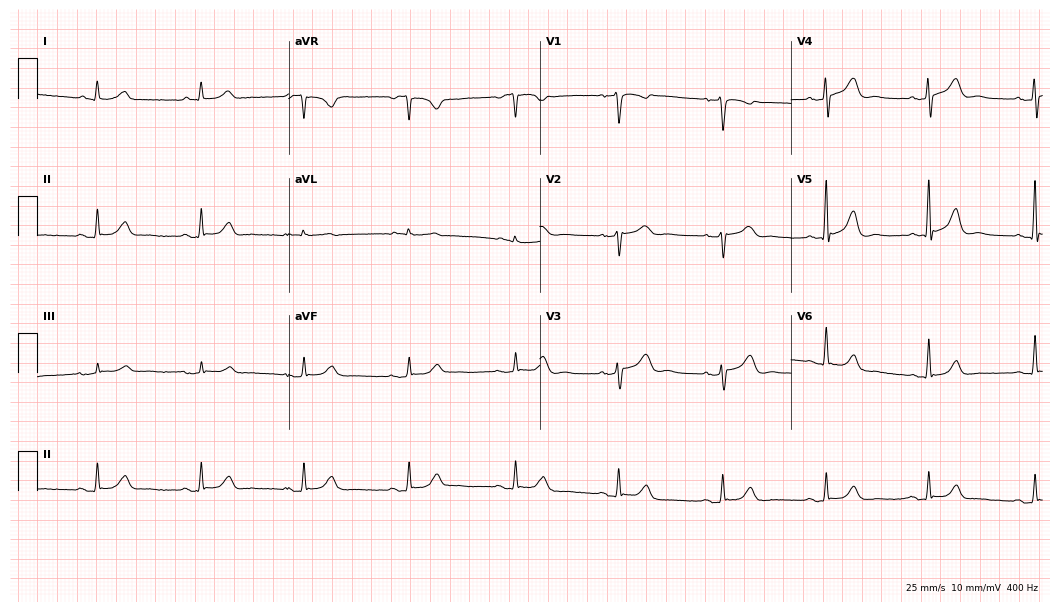
Standard 12-lead ECG recorded from a 73-year-old male. Read as a normal ECG.